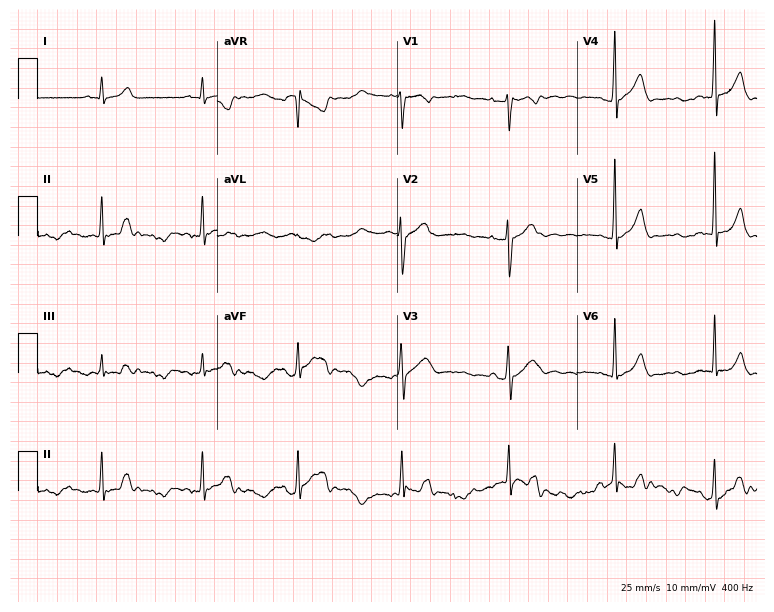
ECG (7.3-second recording at 400 Hz) — a man, 38 years old. Screened for six findings — first-degree AV block, right bundle branch block (RBBB), left bundle branch block (LBBB), sinus bradycardia, atrial fibrillation (AF), sinus tachycardia — none is recorded. Other findings, if any, are not listed.